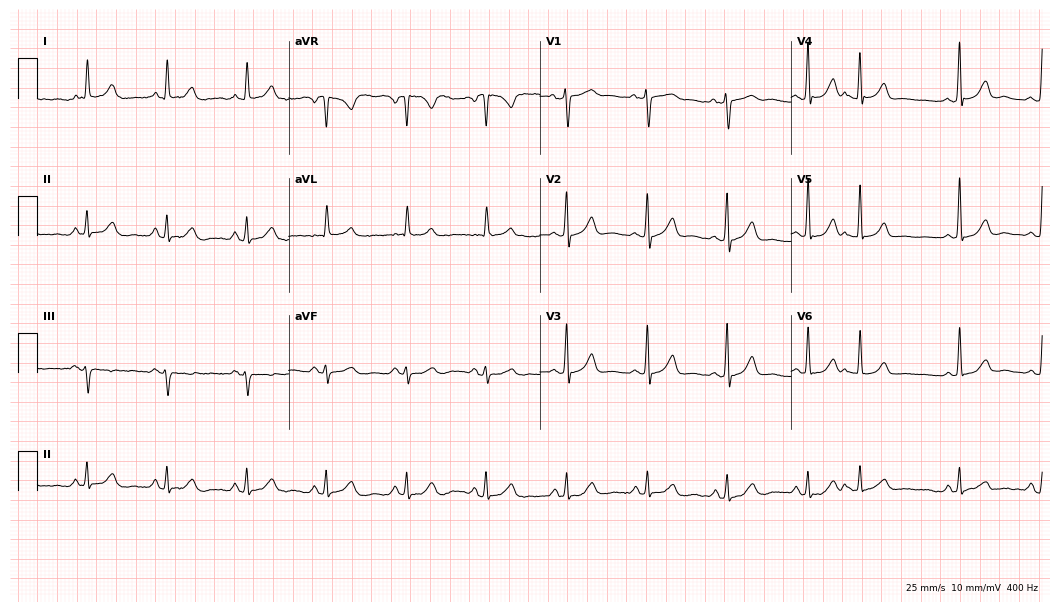
Standard 12-lead ECG recorded from a female, 60 years old. Read as a normal ECG.